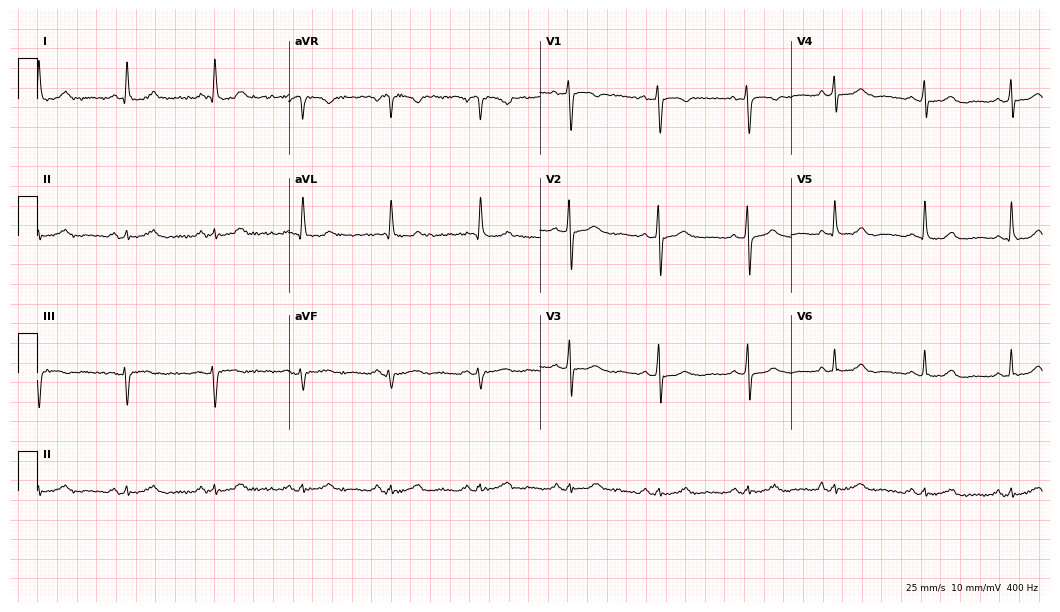
ECG — a 72-year-old female. Labelled as a normal ECG.